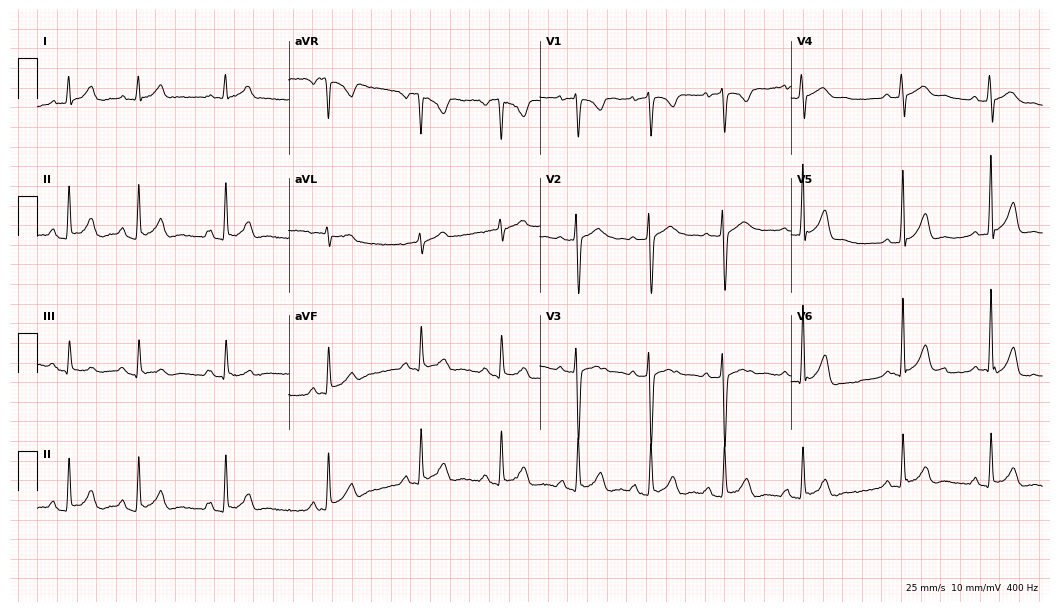
Resting 12-lead electrocardiogram. Patient: a woman, 24 years old. Read as a normal ECG.